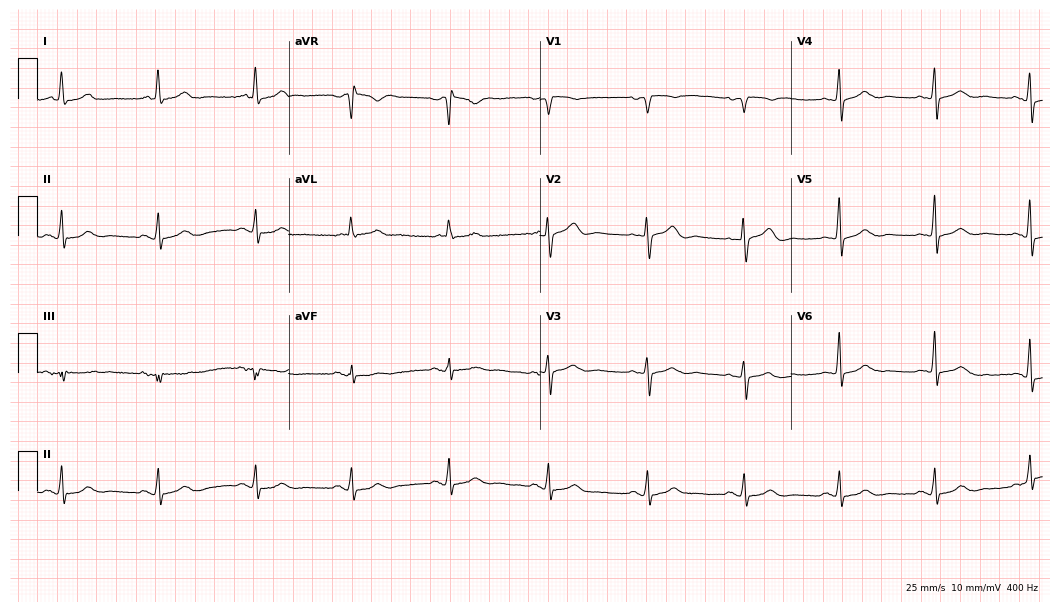
Resting 12-lead electrocardiogram. Patient: a 70-year-old female. Read as a normal ECG.